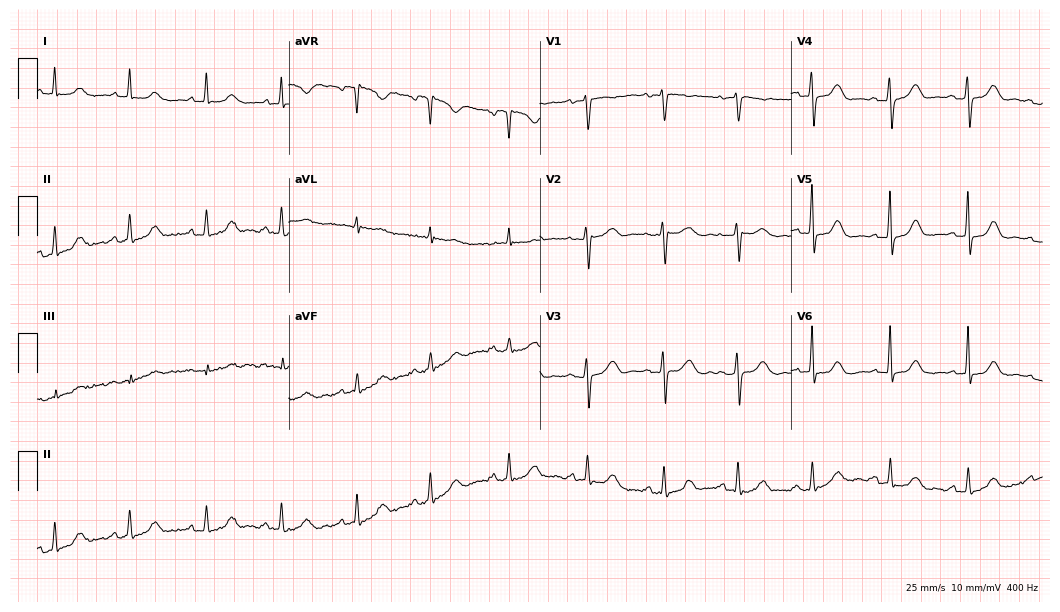
Standard 12-lead ECG recorded from a female patient, 76 years old. None of these six findings is recorded: first-degree AV block, right bundle branch block (RBBB), left bundle branch block (LBBB), sinus bradycardia, atrial fibrillation (AF), sinus tachycardia. Findings outside these six are not listed.